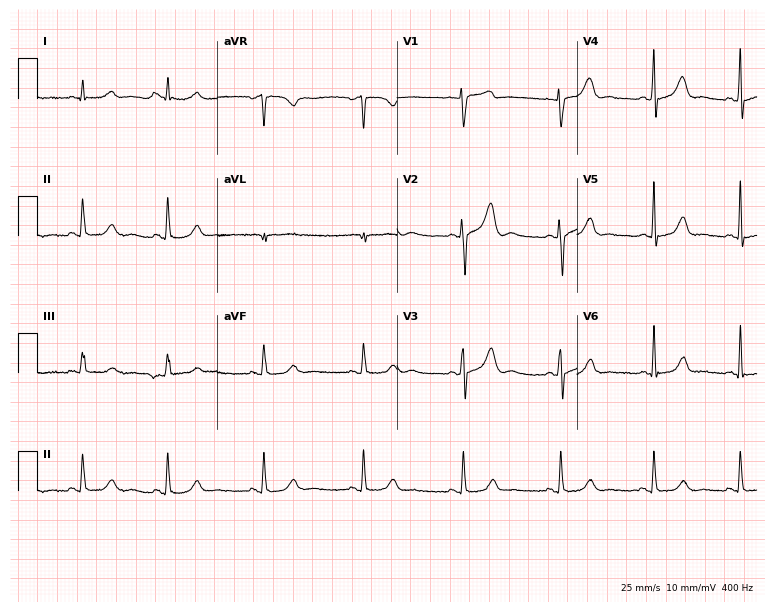
ECG (7.3-second recording at 400 Hz) — a man, 49 years old. Labelled as a normal ECG.